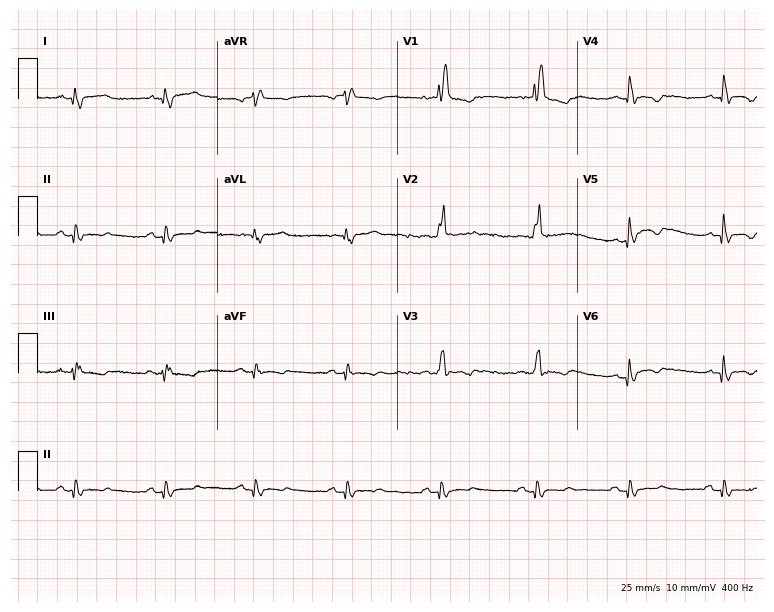
Resting 12-lead electrocardiogram. Patient: a 51-year-old male. The tracing shows right bundle branch block (RBBB).